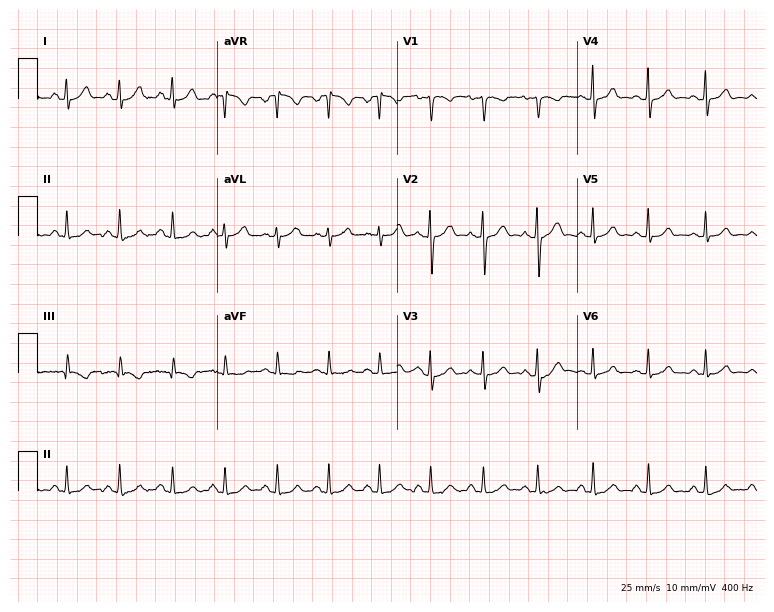
12-lead ECG from a 25-year-old woman. Shows sinus tachycardia (a sinus rate of 100 beats per minute or more).